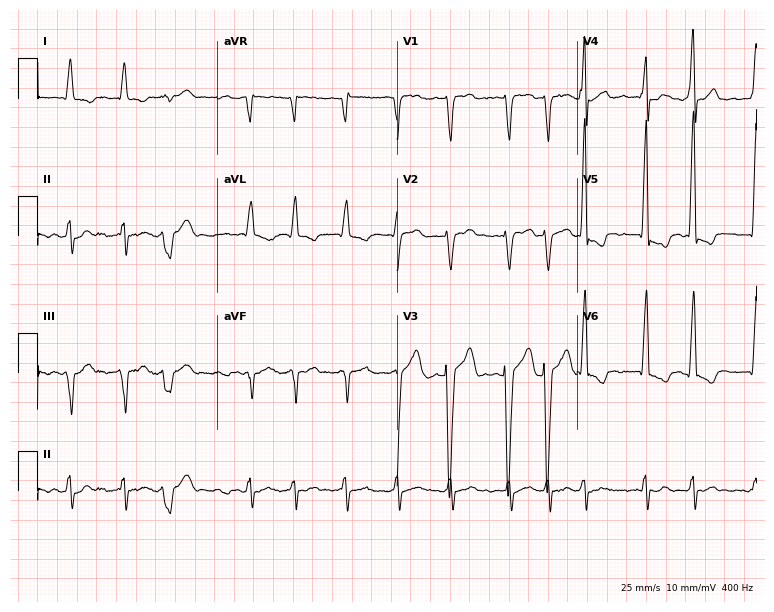
Resting 12-lead electrocardiogram (7.3-second recording at 400 Hz). Patient: a 79-year-old male. The tracing shows atrial fibrillation.